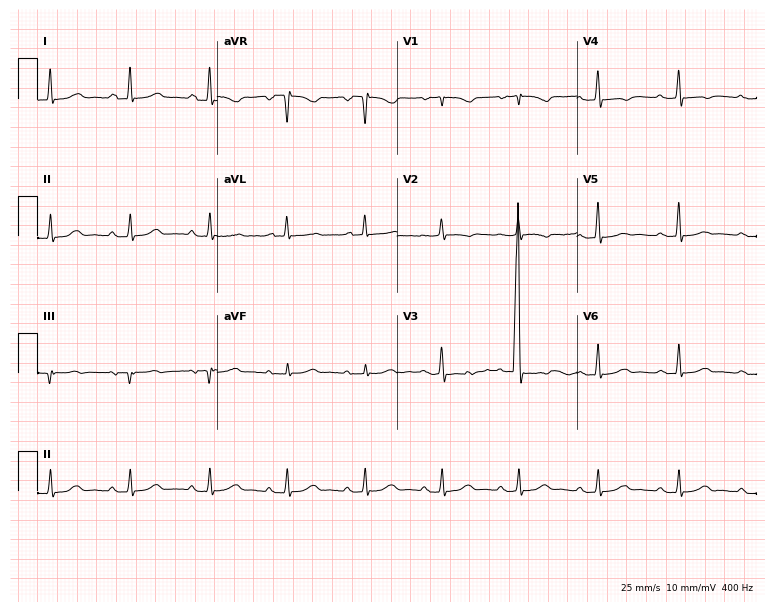
Electrocardiogram, a woman, 58 years old. Of the six screened findings (first-degree AV block, right bundle branch block, left bundle branch block, sinus bradycardia, atrial fibrillation, sinus tachycardia), none is recorded.